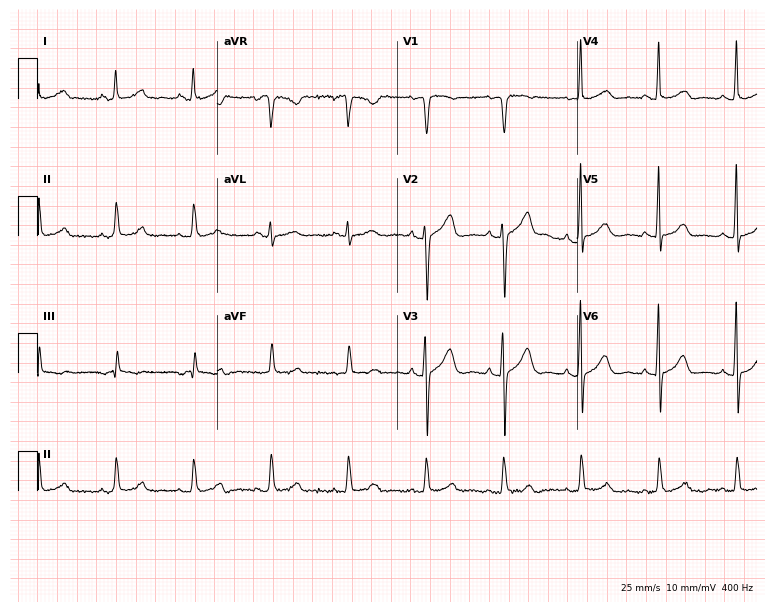
12-lead ECG (7.3-second recording at 400 Hz) from a man, 70 years old. Labelled as a normal ECG.